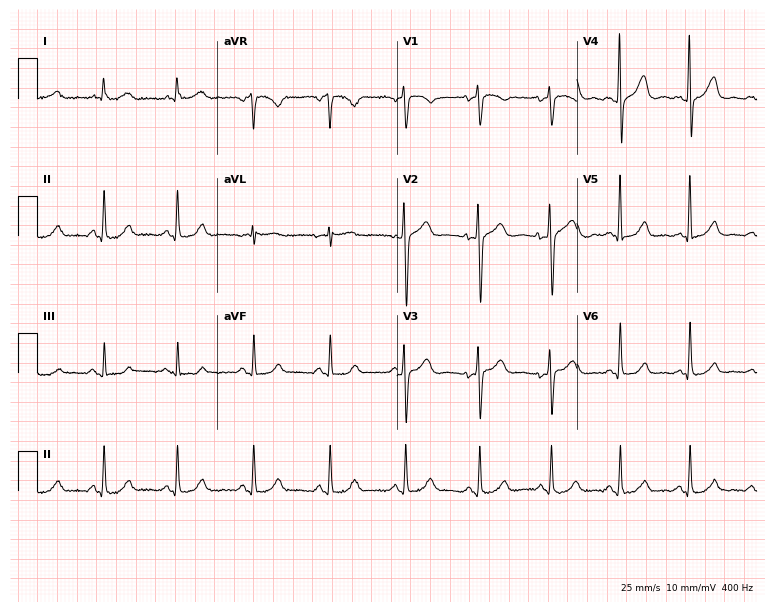
Standard 12-lead ECG recorded from a man, 51 years old (7.3-second recording at 400 Hz). None of these six findings is recorded: first-degree AV block, right bundle branch block, left bundle branch block, sinus bradycardia, atrial fibrillation, sinus tachycardia.